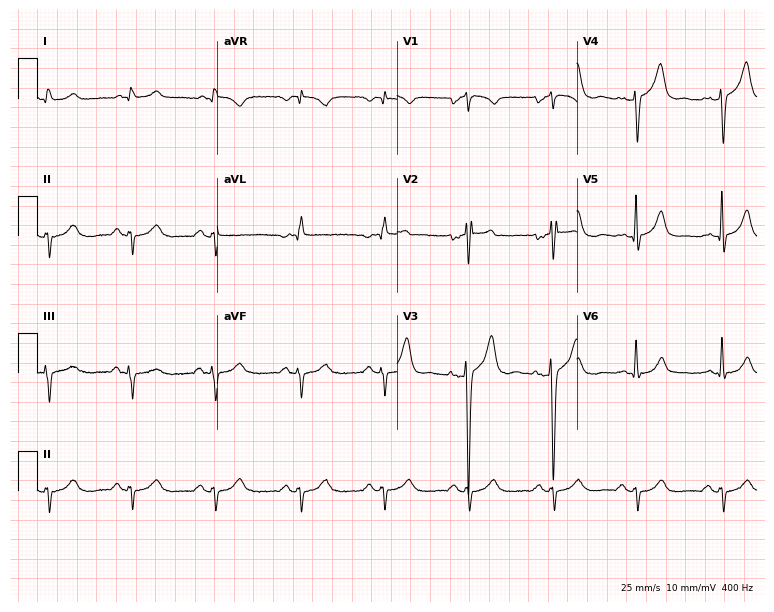
12-lead ECG from a male, 66 years old. Screened for six findings — first-degree AV block, right bundle branch block, left bundle branch block, sinus bradycardia, atrial fibrillation, sinus tachycardia — none is recorded. Only these six findings were labelled.